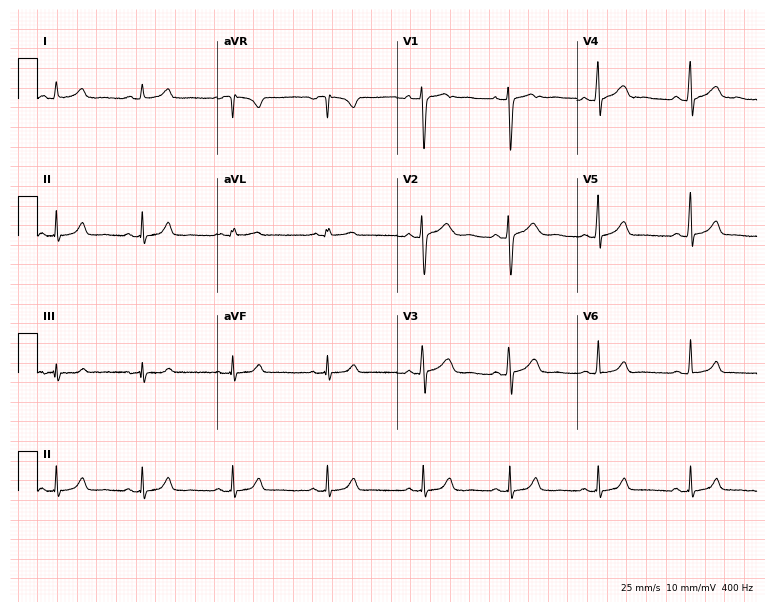
12-lead ECG (7.3-second recording at 400 Hz) from a female patient, 27 years old. Screened for six findings — first-degree AV block, right bundle branch block (RBBB), left bundle branch block (LBBB), sinus bradycardia, atrial fibrillation (AF), sinus tachycardia — none is recorded. Only these six findings were labelled.